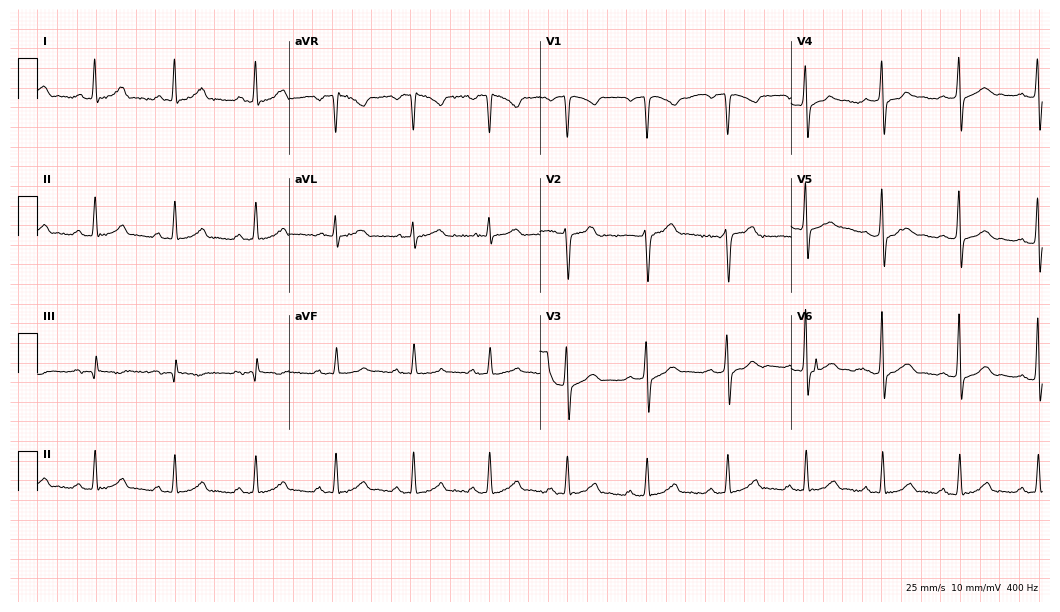
12-lead ECG from a male patient, 45 years old. Recorded interpretation: within normal limits.